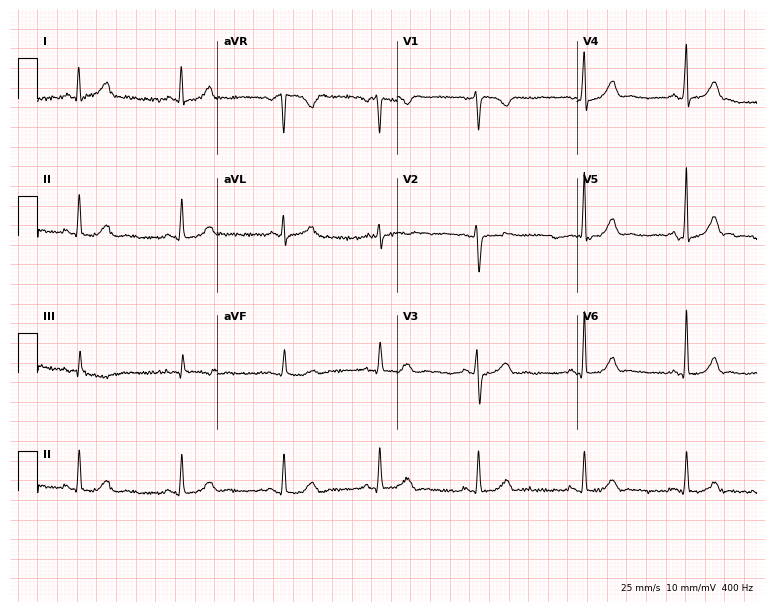
Resting 12-lead electrocardiogram (7.3-second recording at 400 Hz). Patient: a 39-year-old female. Read as a normal ECG.